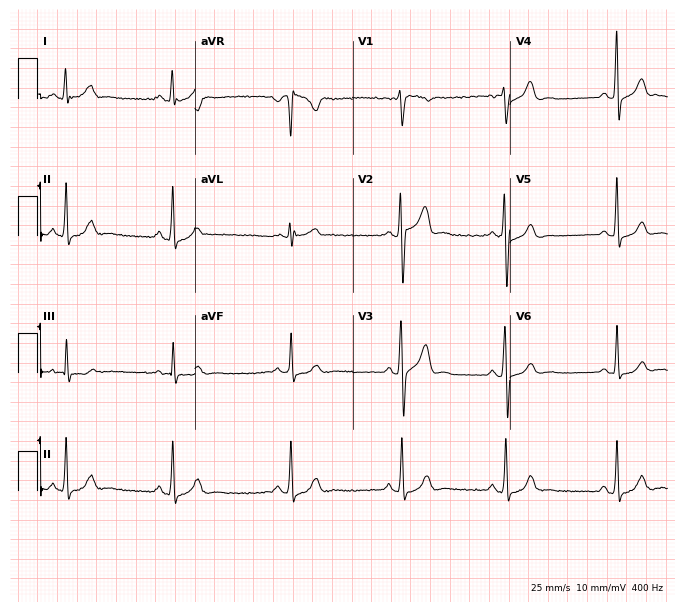
ECG — a 26-year-old male patient. Labelled as a normal ECG.